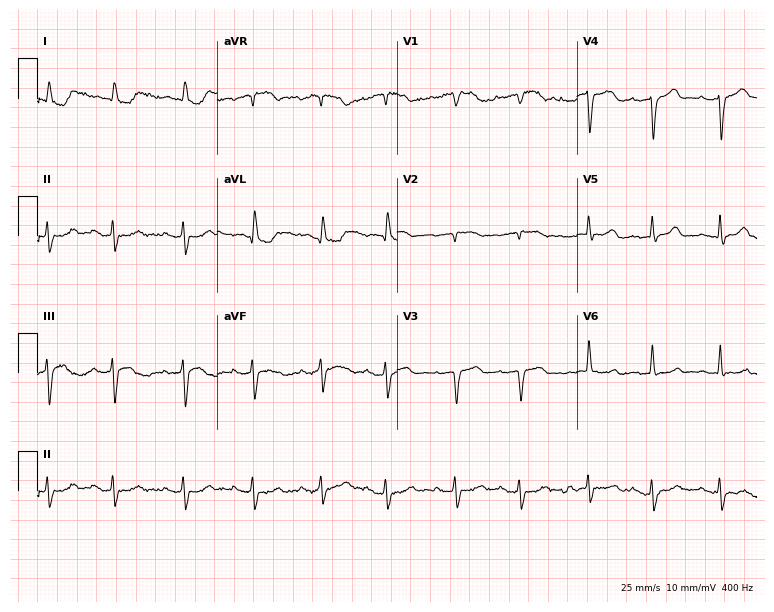
ECG (7.3-second recording at 400 Hz) — a man, 75 years old. Screened for six findings — first-degree AV block, right bundle branch block (RBBB), left bundle branch block (LBBB), sinus bradycardia, atrial fibrillation (AF), sinus tachycardia — none is recorded.